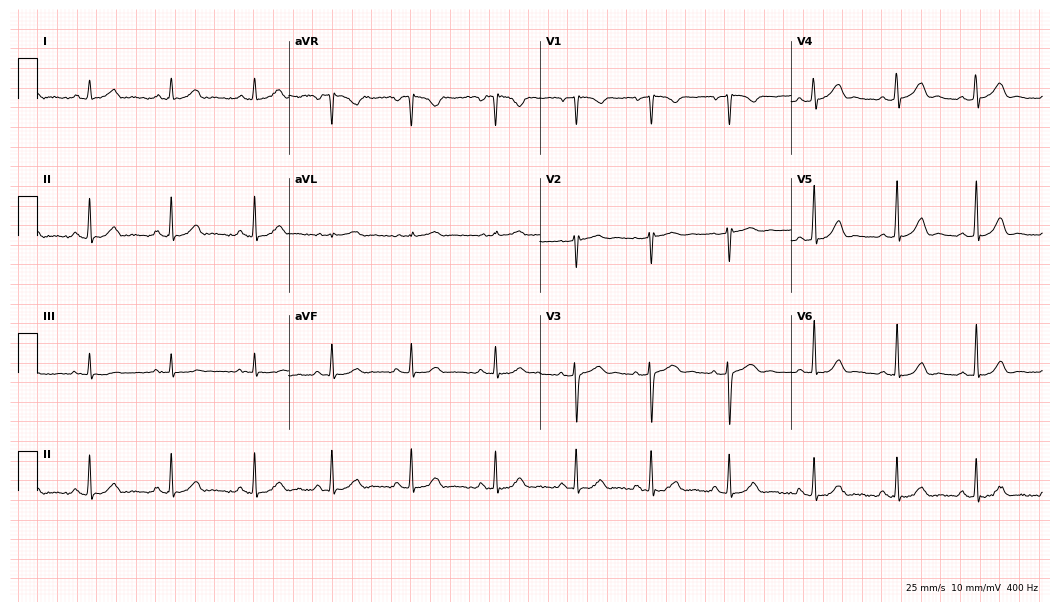
Standard 12-lead ECG recorded from a woman, 30 years old. Read as a normal ECG.